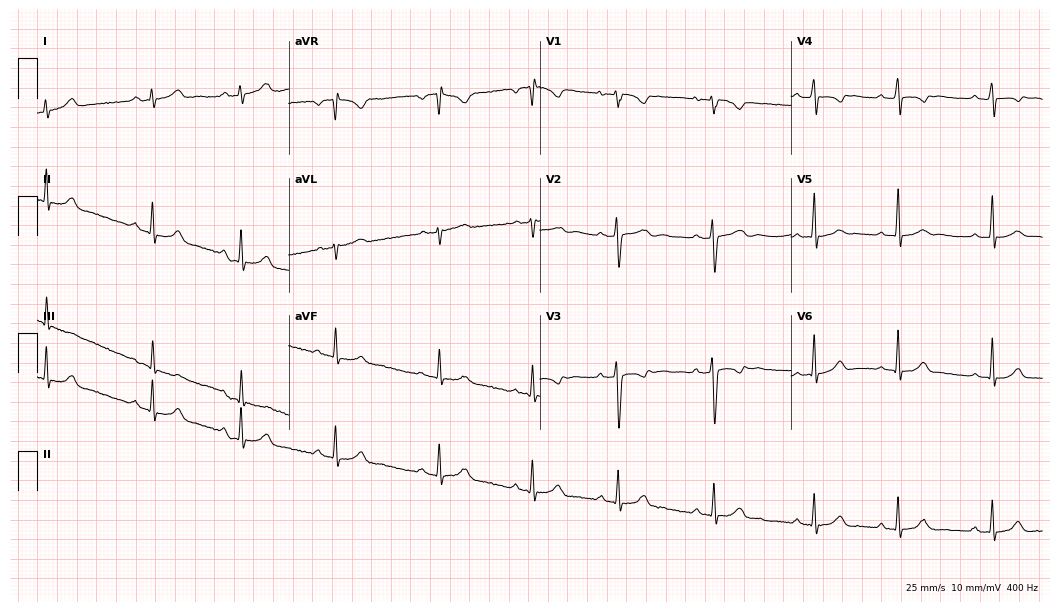
ECG — a 25-year-old woman. Screened for six findings — first-degree AV block, right bundle branch block (RBBB), left bundle branch block (LBBB), sinus bradycardia, atrial fibrillation (AF), sinus tachycardia — none is recorded.